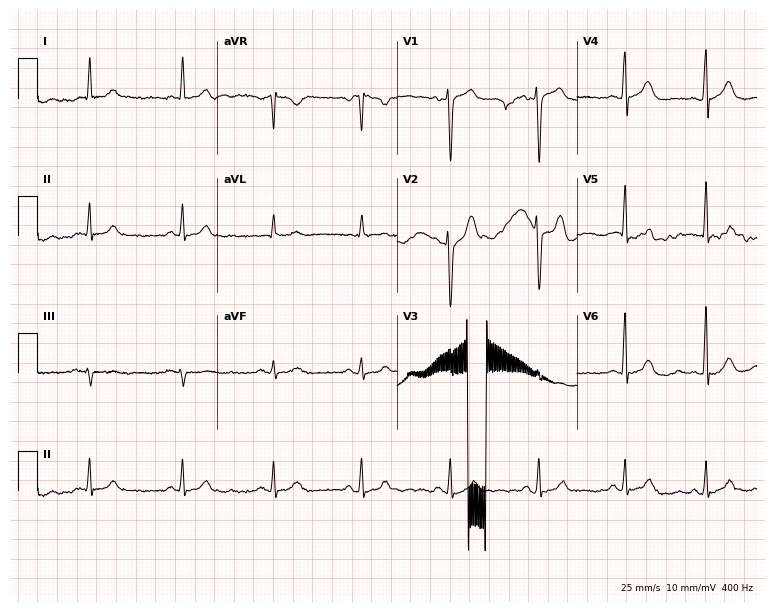
Resting 12-lead electrocardiogram (7.3-second recording at 400 Hz). Patient: a male, 47 years old. None of these six findings is recorded: first-degree AV block, right bundle branch block (RBBB), left bundle branch block (LBBB), sinus bradycardia, atrial fibrillation (AF), sinus tachycardia. Only these six findings were labelled.